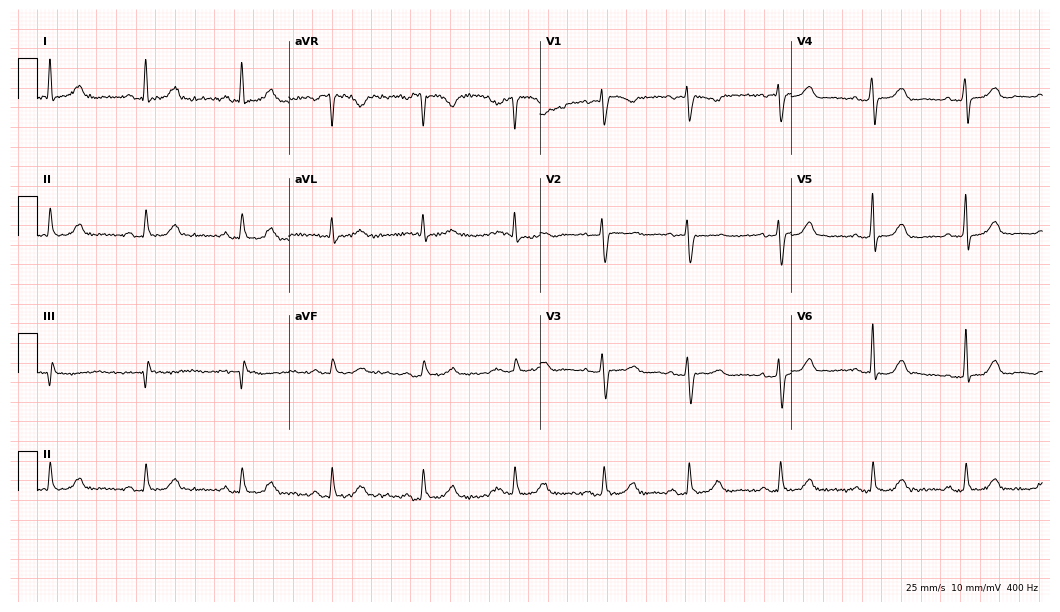
12-lead ECG from a woman, 52 years old (10.2-second recording at 400 Hz). Recorded interpretation: within normal limits.